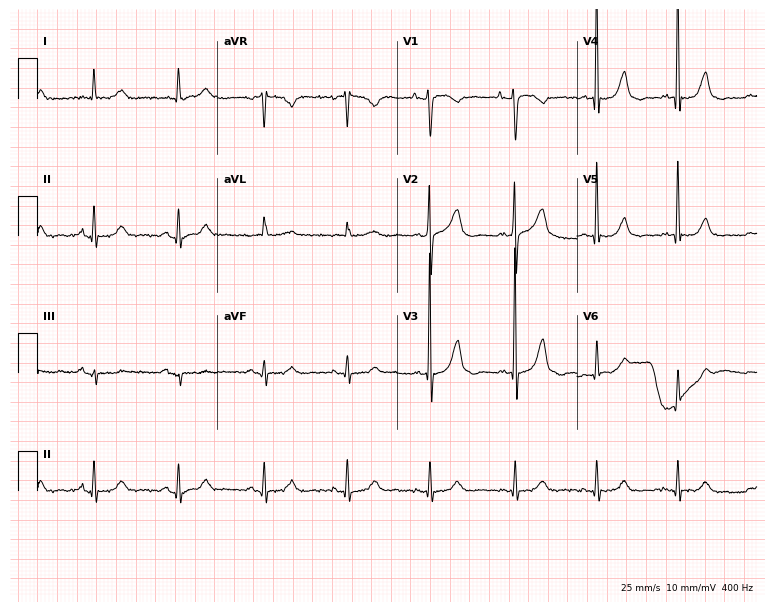
ECG — a woman, 70 years old. Screened for six findings — first-degree AV block, right bundle branch block (RBBB), left bundle branch block (LBBB), sinus bradycardia, atrial fibrillation (AF), sinus tachycardia — none is recorded. Findings outside these six are not listed.